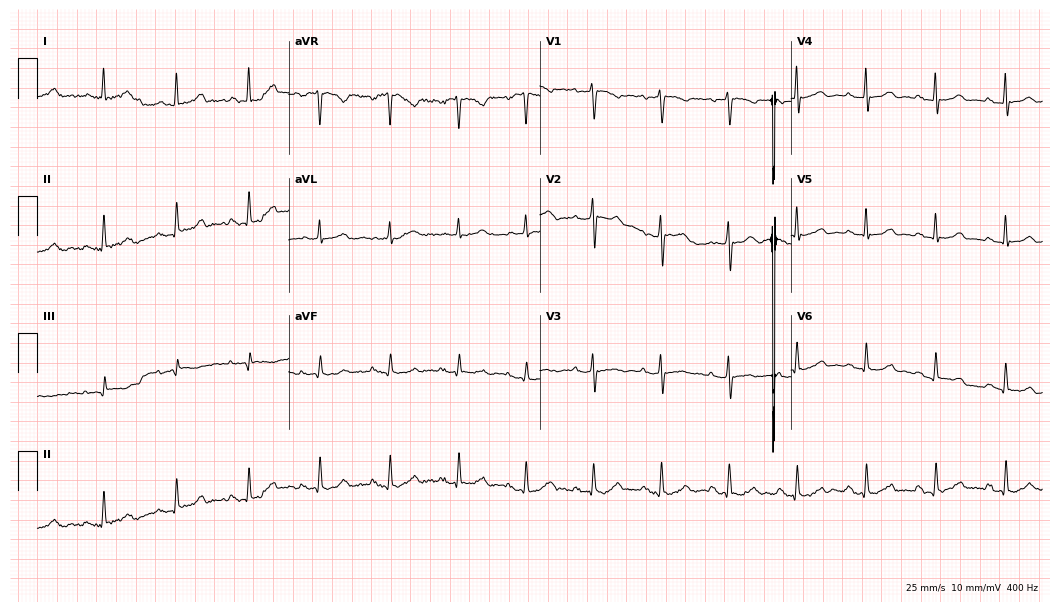
Resting 12-lead electrocardiogram (10.2-second recording at 400 Hz). Patient: a female, 55 years old. None of these six findings is recorded: first-degree AV block, right bundle branch block, left bundle branch block, sinus bradycardia, atrial fibrillation, sinus tachycardia.